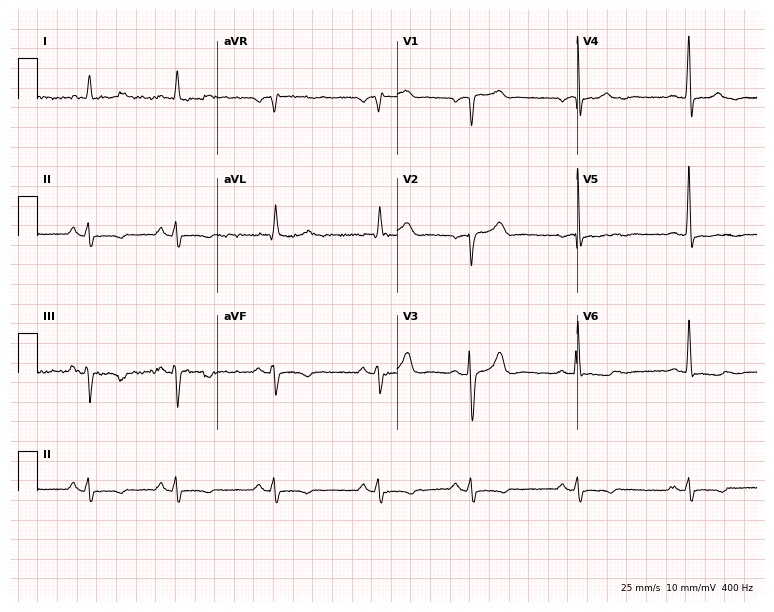
ECG (7.3-second recording at 400 Hz) — a man, 68 years old. Labelled as a normal ECG.